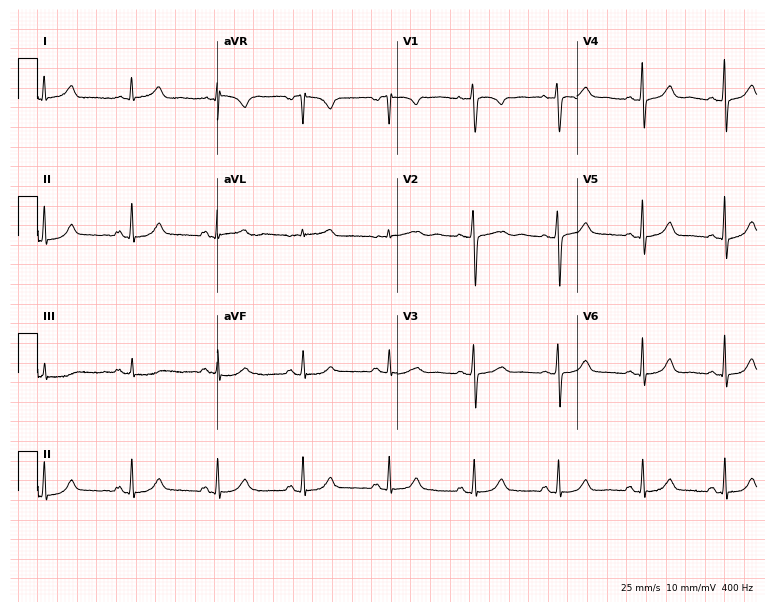
Electrocardiogram (7.3-second recording at 400 Hz), a female patient, 62 years old. Overall reading on record: normal ECG.